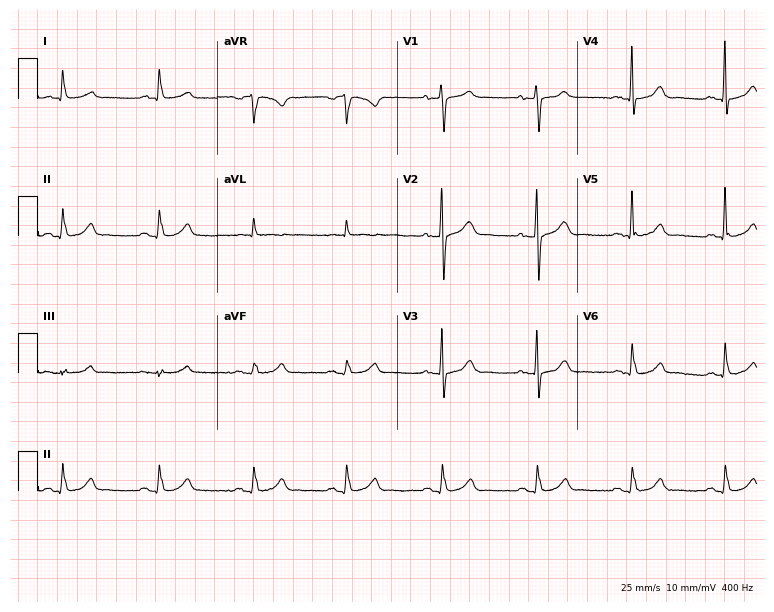
12-lead ECG (7.3-second recording at 400 Hz) from a male, 79 years old. Labelled as a normal ECG.